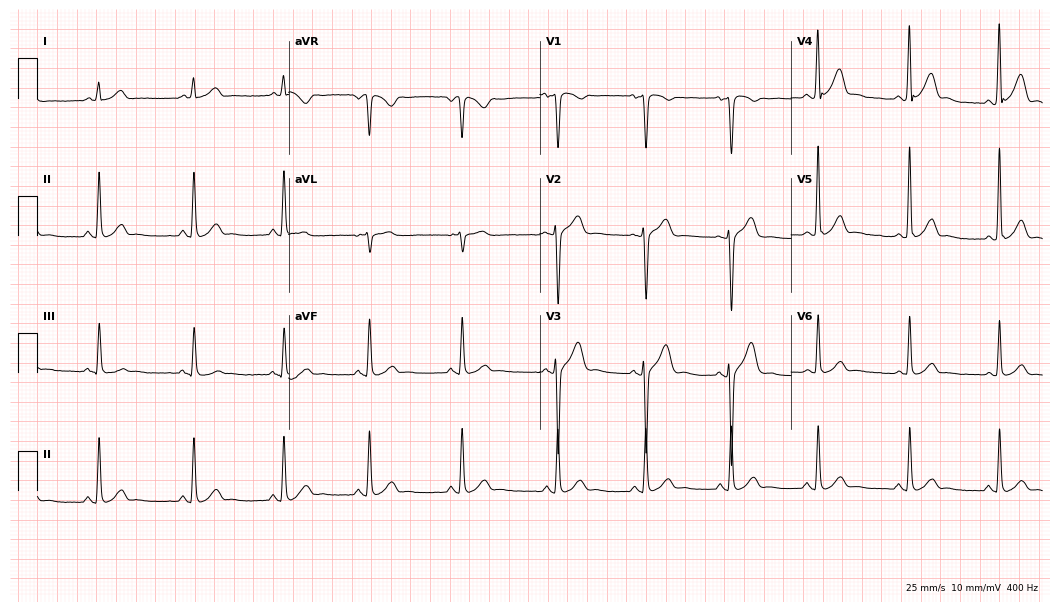
12-lead ECG from a man, 25 years old. Labelled as a normal ECG.